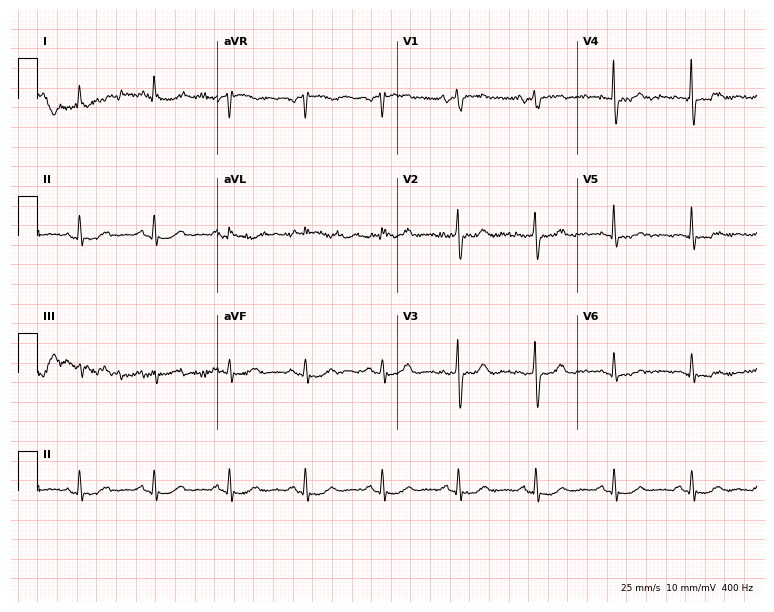
12-lead ECG (7.3-second recording at 400 Hz) from a female patient, 78 years old. Screened for six findings — first-degree AV block, right bundle branch block (RBBB), left bundle branch block (LBBB), sinus bradycardia, atrial fibrillation (AF), sinus tachycardia — none is recorded. Other findings, if any, are not listed.